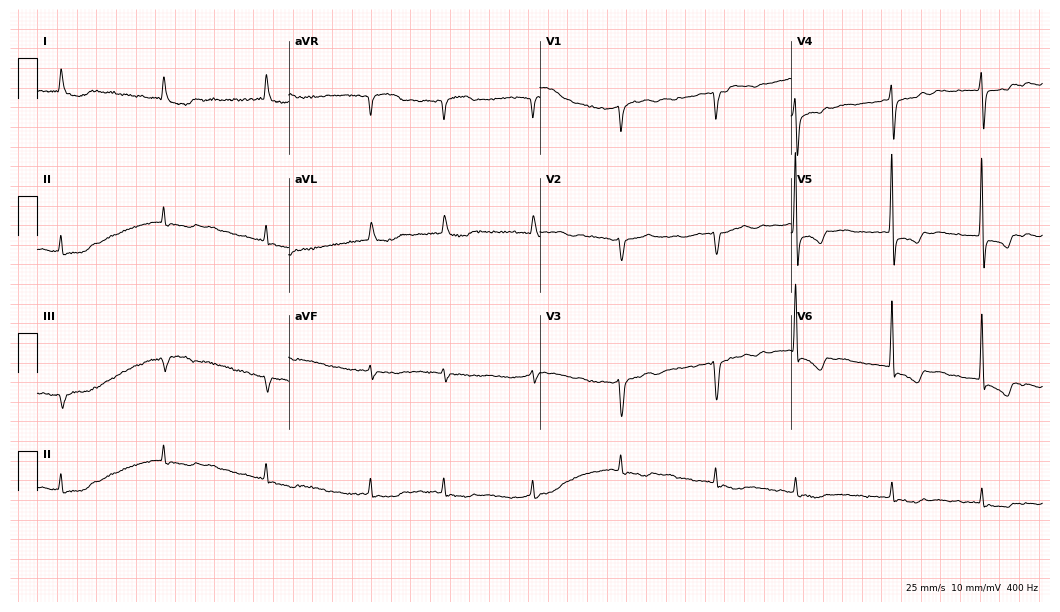
12-lead ECG (10.2-second recording at 400 Hz) from a male, 76 years old. Findings include atrial fibrillation (AF).